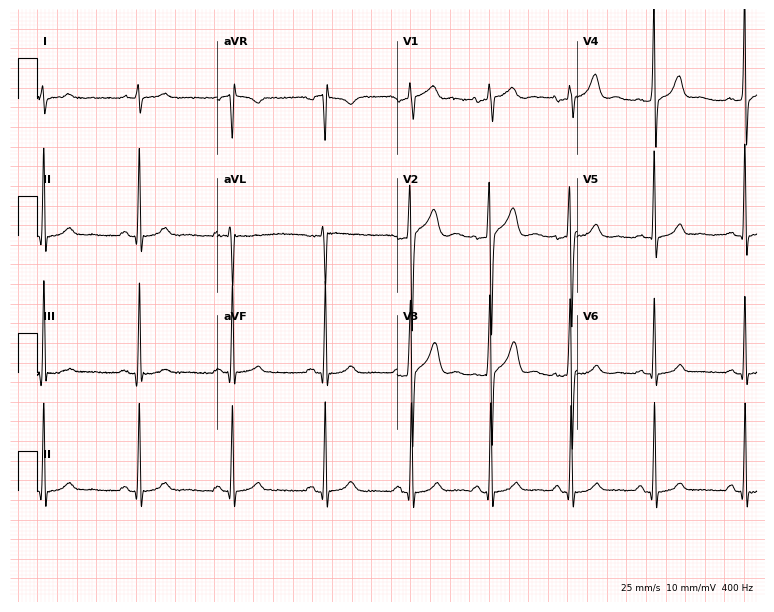
12-lead ECG from a 54-year-old man. No first-degree AV block, right bundle branch block, left bundle branch block, sinus bradycardia, atrial fibrillation or sinus tachycardia recorded for this tracing.